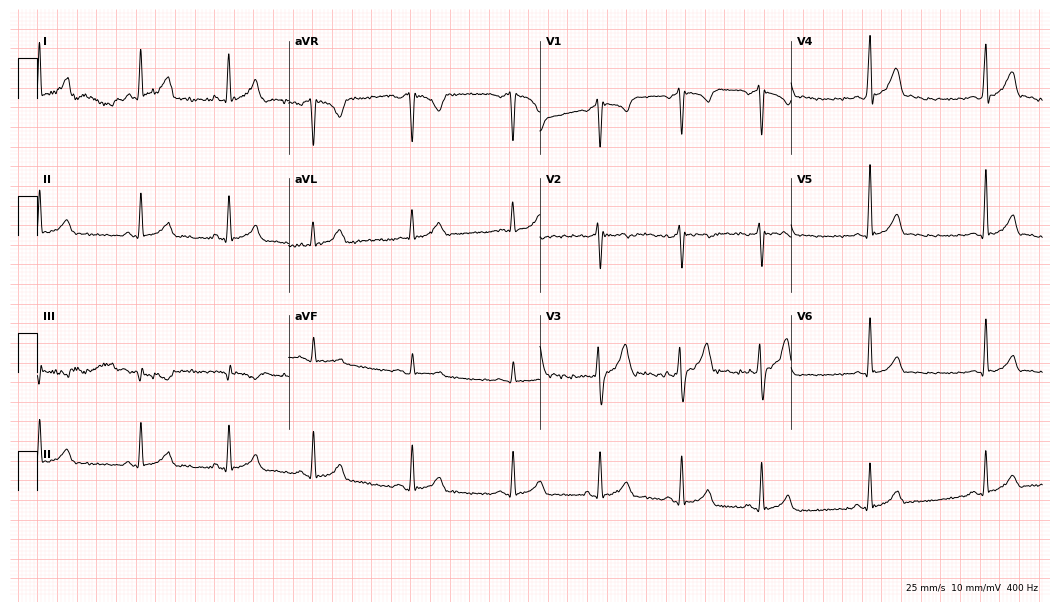
Standard 12-lead ECG recorded from a 28-year-old male. Read as a normal ECG.